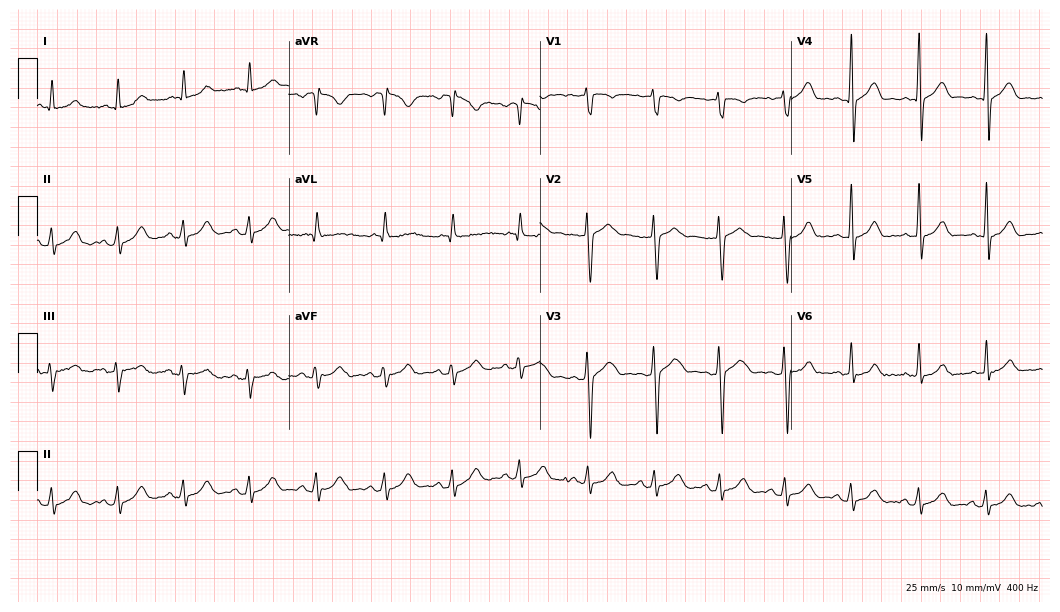
Standard 12-lead ECG recorded from a male patient, 50 years old (10.2-second recording at 400 Hz). Read as a normal ECG.